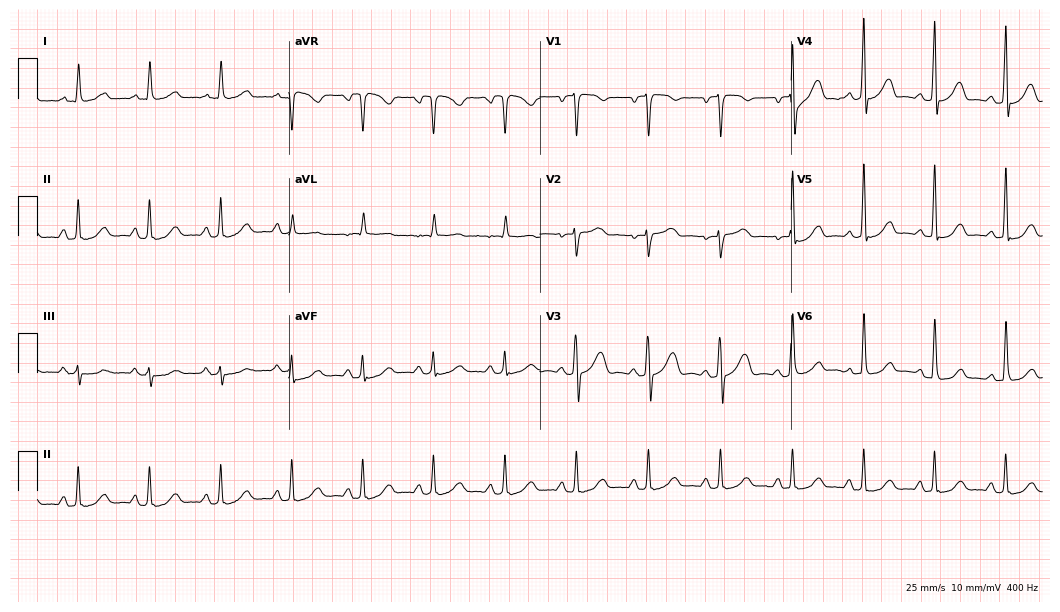
Resting 12-lead electrocardiogram. Patient: a female, 53 years old. Read as a normal ECG.